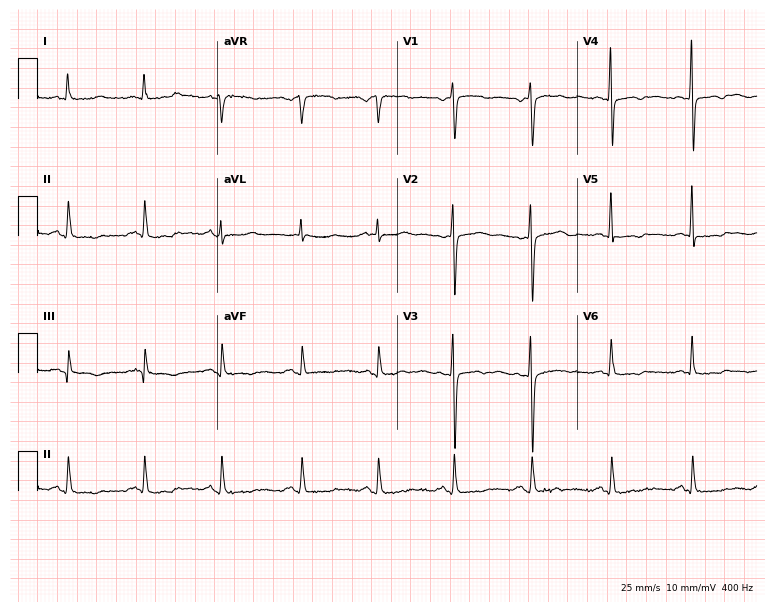
ECG (7.3-second recording at 400 Hz) — a female, 68 years old. Screened for six findings — first-degree AV block, right bundle branch block, left bundle branch block, sinus bradycardia, atrial fibrillation, sinus tachycardia — none is recorded. Only these six findings were labelled.